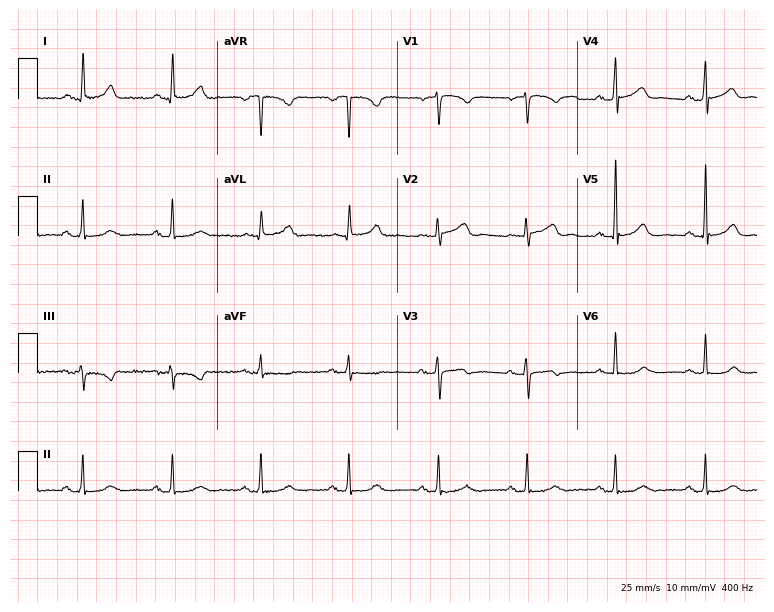
12-lead ECG (7.3-second recording at 400 Hz) from a 58-year-old female. Labelled as a normal ECG.